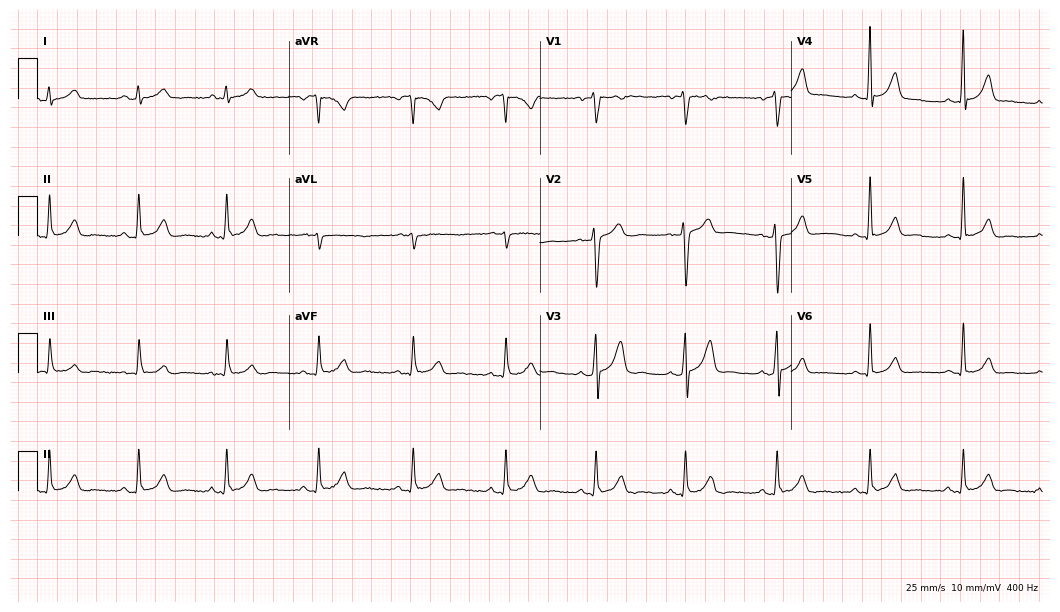
12-lead ECG from a 45-year-old man (10.2-second recording at 400 Hz). Recorded interpretation: within normal limits.